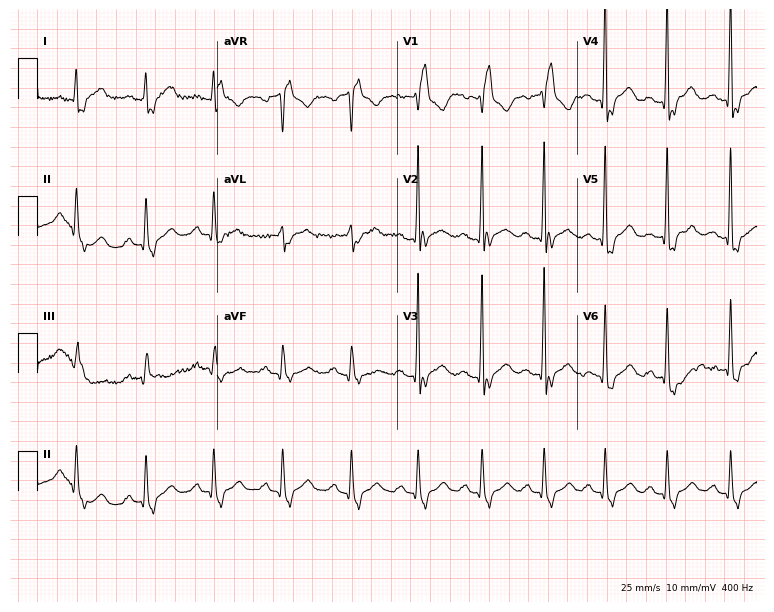
Resting 12-lead electrocardiogram (7.3-second recording at 400 Hz). Patient: a 45-year-old man. The tracing shows right bundle branch block.